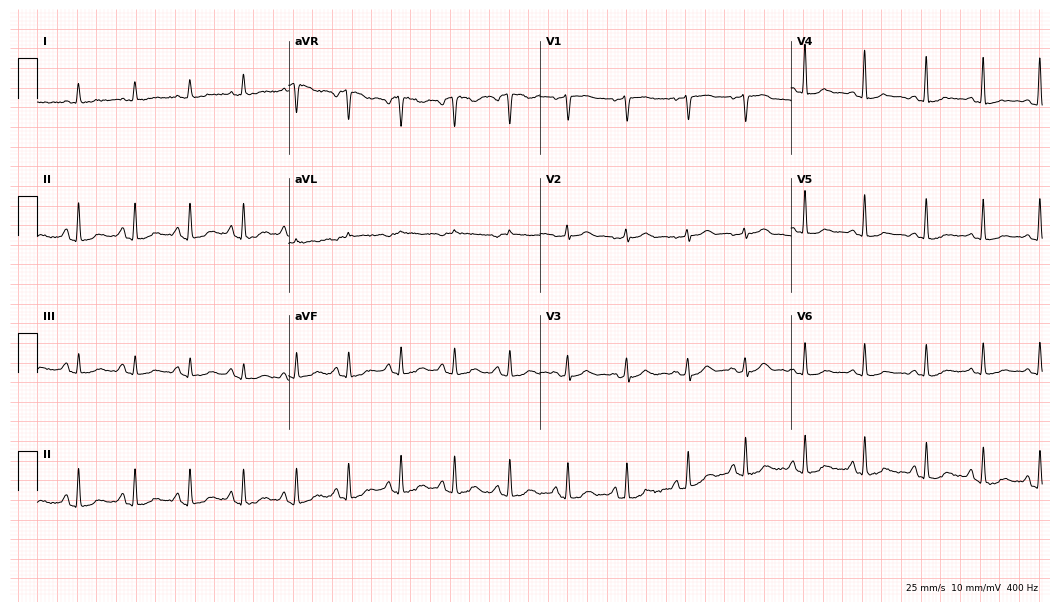
12-lead ECG from a female patient, 65 years old (10.2-second recording at 400 Hz). Shows sinus tachycardia (a sinus rate of 100 beats per minute or more).